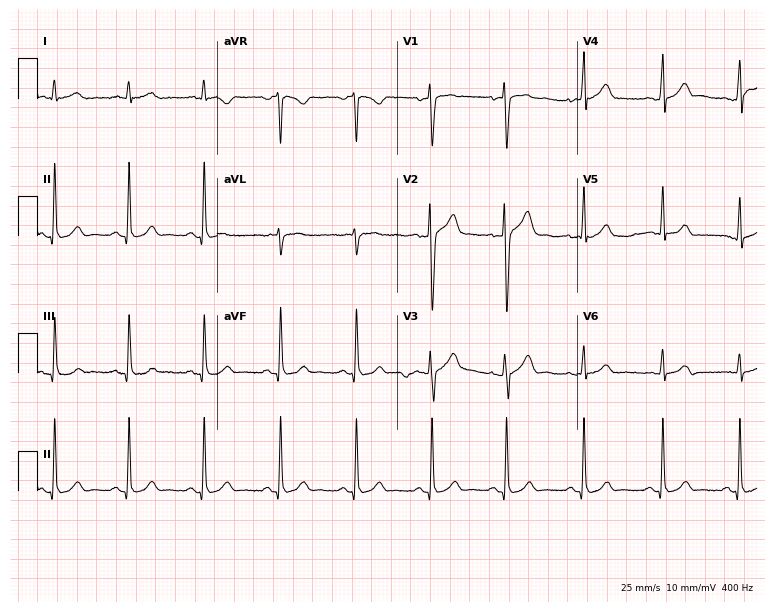
Standard 12-lead ECG recorded from a 48-year-old man. Read as a normal ECG.